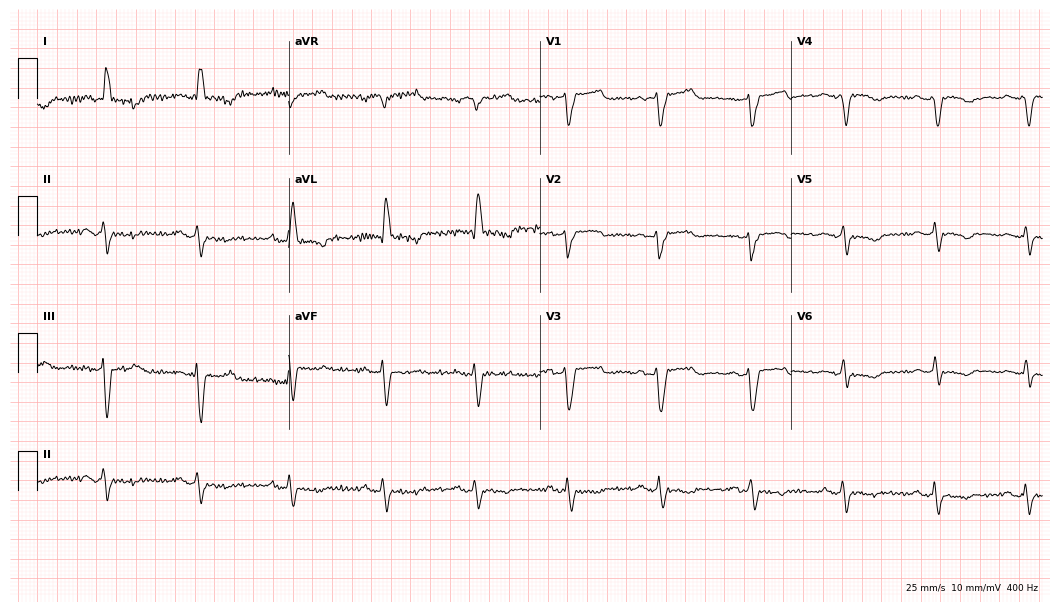
Electrocardiogram, a 49-year-old female. Of the six screened findings (first-degree AV block, right bundle branch block (RBBB), left bundle branch block (LBBB), sinus bradycardia, atrial fibrillation (AF), sinus tachycardia), none is recorded. Other findings, if any, are not listed.